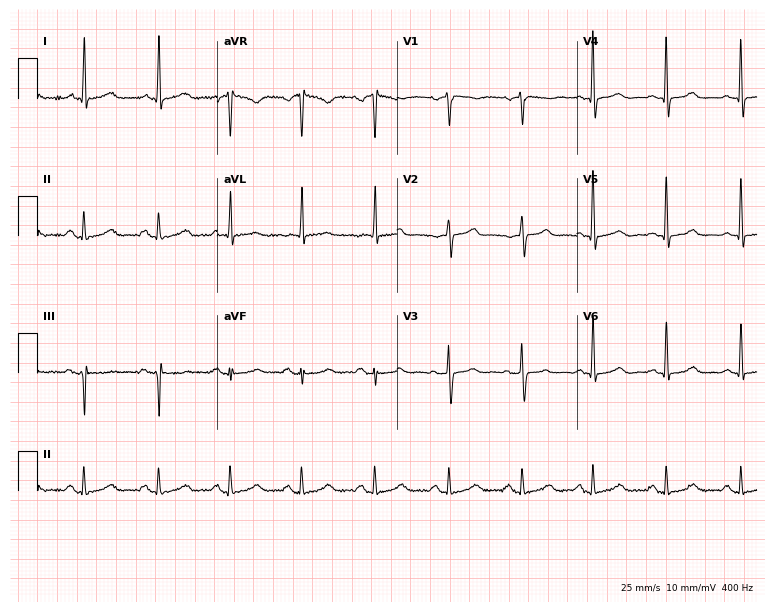
Resting 12-lead electrocardiogram (7.3-second recording at 400 Hz). Patient: a 71-year-old female. Read as a normal ECG.